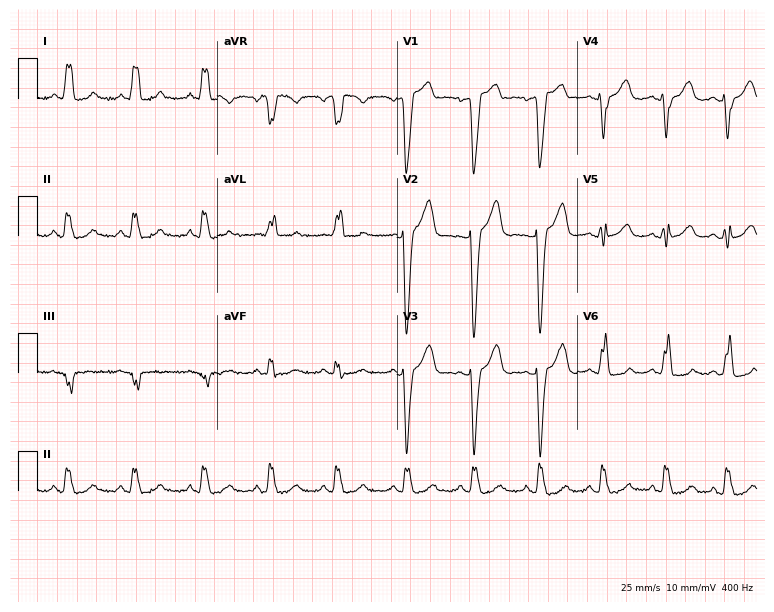
ECG — a 47-year-old woman. Findings include left bundle branch block.